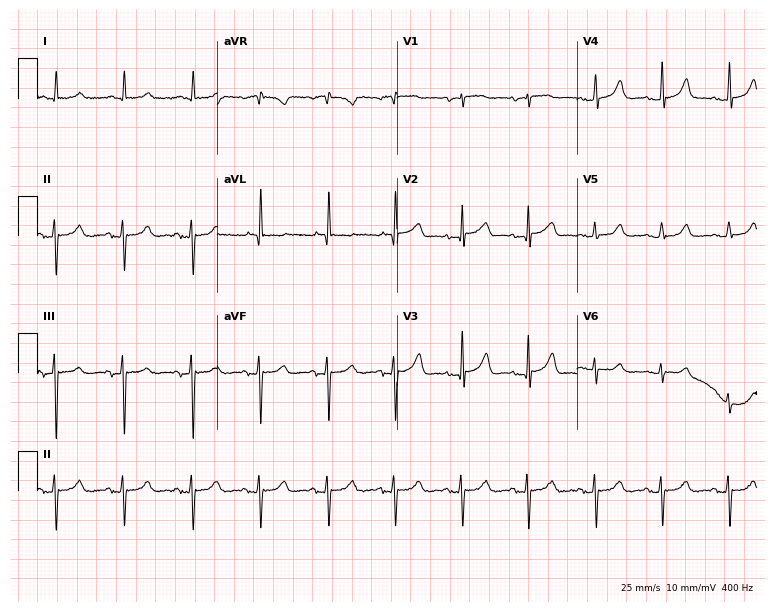
Standard 12-lead ECG recorded from a man, 76 years old (7.3-second recording at 400 Hz). Read as a normal ECG.